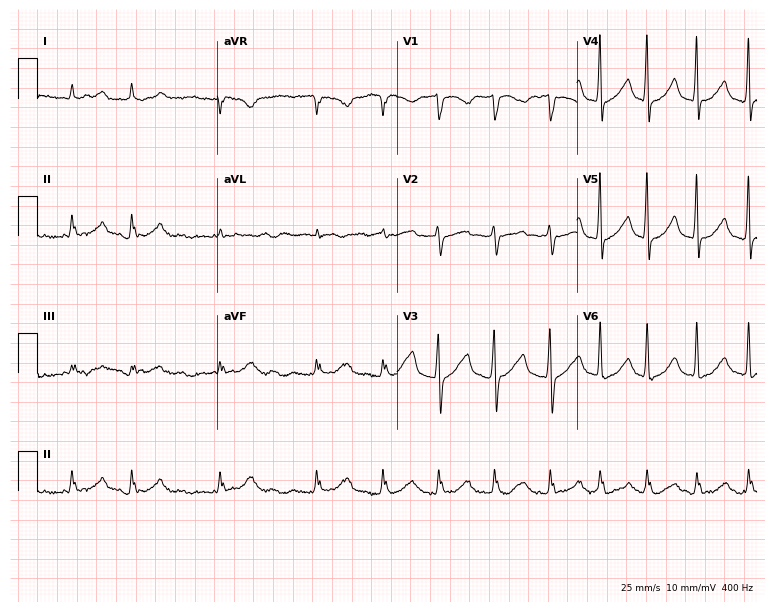
Resting 12-lead electrocardiogram (7.3-second recording at 400 Hz). Patient: a 77-year-old man. None of these six findings is recorded: first-degree AV block, right bundle branch block, left bundle branch block, sinus bradycardia, atrial fibrillation, sinus tachycardia. Only these six findings were labelled.